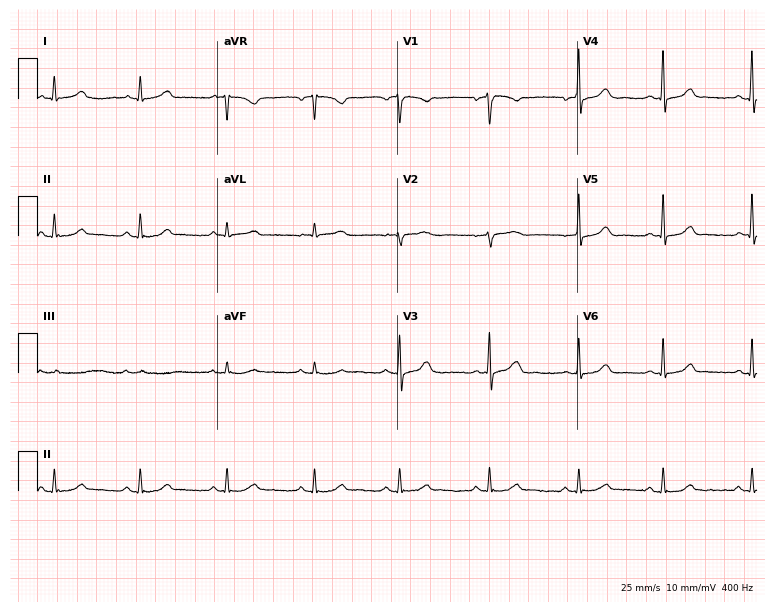
12-lead ECG from a female, 54 years old. Screened for six findings — first-degree AV block, right bundle branch block (RBBB), left bundle branch block (LBBB), sinus bradycardia, atrial fibrillation (AF), sinus tachycardia — none is recorded. Only these six findings were labelled.